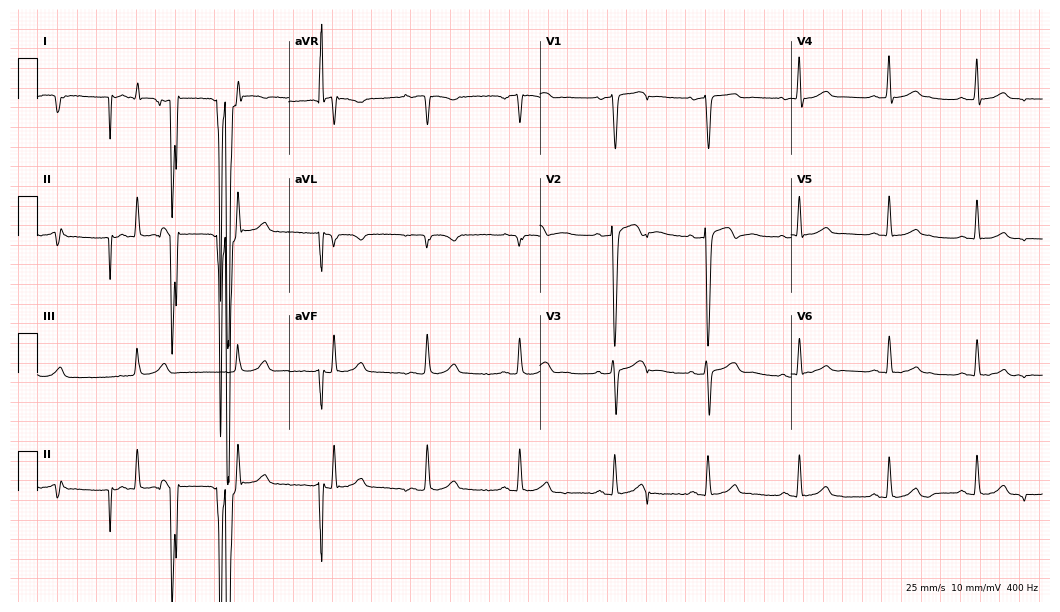
Standard 12-lead ECG recorded from a man, 63 years old. None of these six findings is recorded: first-degree AV block, right bundle branch block (RBBB), left bundle branch block (LBBB), sinus bradycardia, atrial fibrillation (AF), sinus tachycardia. Other findings, if any, are not listed.